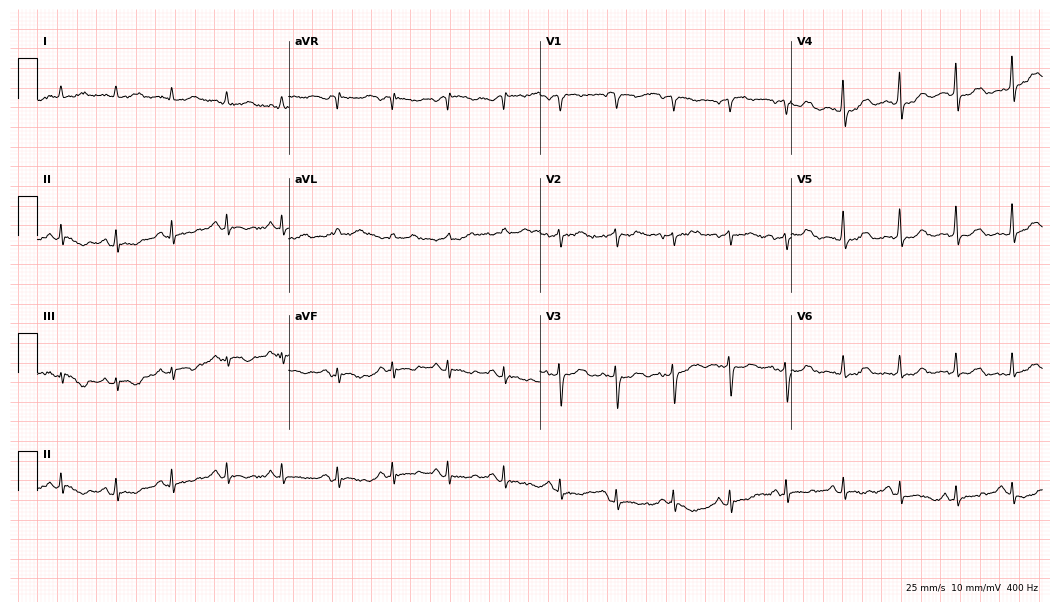
ECG (10.2-second recording at 400 Hz) — a 74-year-old female patient. Labelled as a normal ECG.